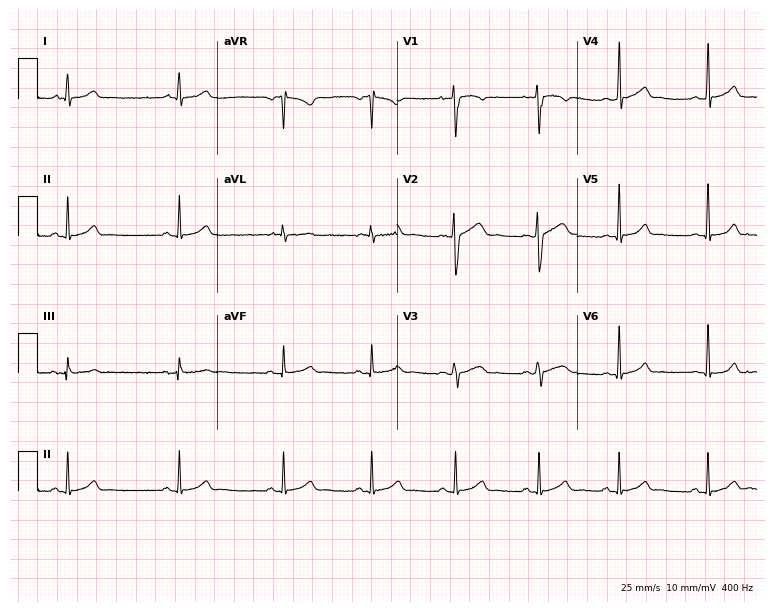
Electrocardiogram, a 30-year-old woman. Overall reading on record: normal ECG.